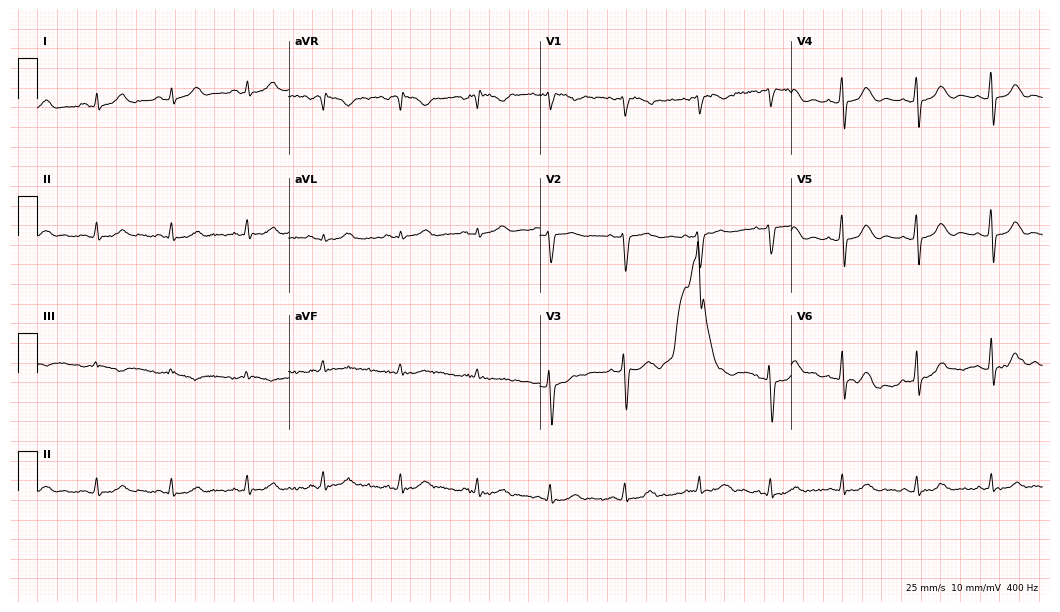
Resting 12-lead electrocardiogram. Patient: a female, 34 years old. Read as a normal ECG.